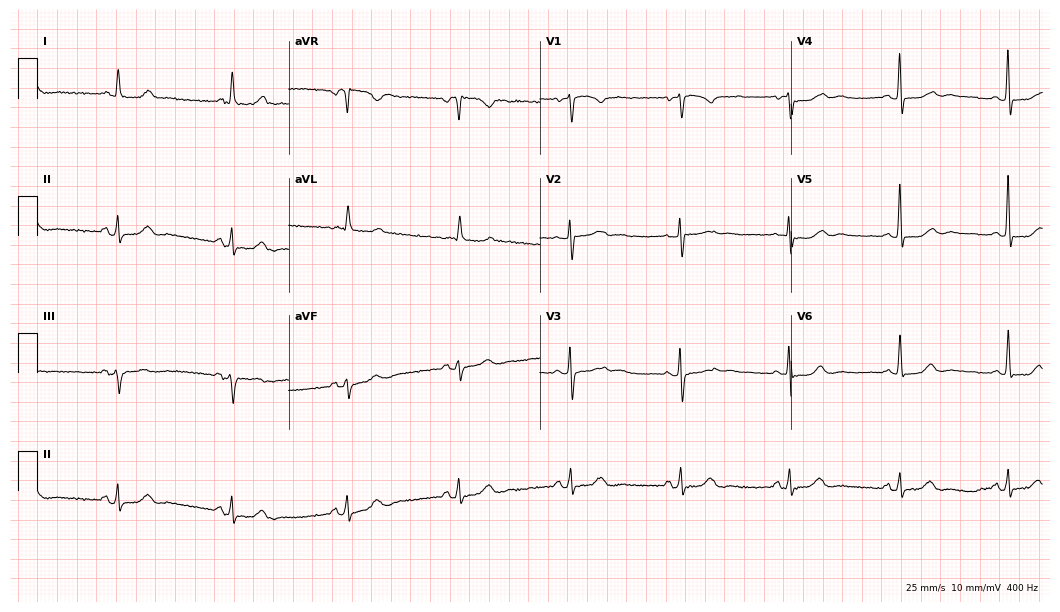
Standard 12-lead ECG recorded from a woman, 57 years old. None of these six findings is recorded: first-degree AV block, right bundle branch block, left bundle branch block, sinus bradycardia, atrial fibrillation, sinus tachycardia.